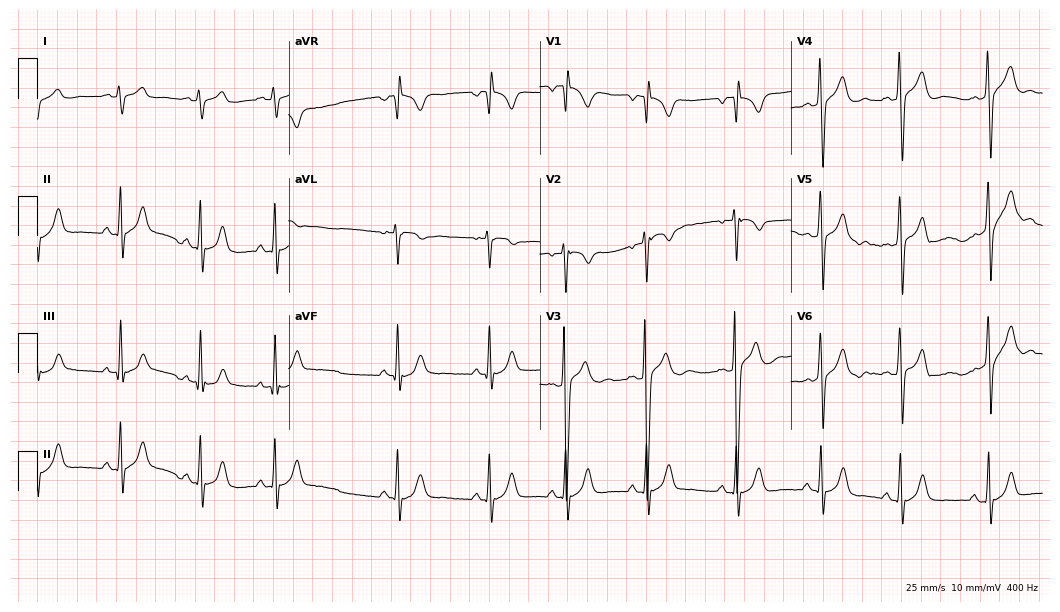
12-lead ECG from a man, 19 years old (10.2-second recording at 400 Hz). No first-degree AV block, right bundle branch block (RBBB), left bundle branch block (LBBB), sinus bradycardia, atrial fibrillation (AF) or sinus tachycardia recorded for this tracing. Findings outside these six are not listed.